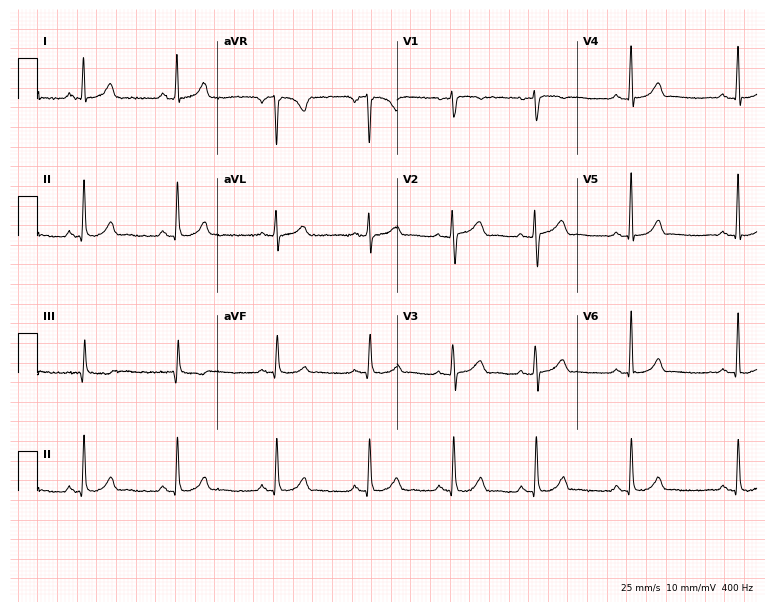
Standard 12-lead ECG recorded from a 36-year-old female. Read as a normal ECG.